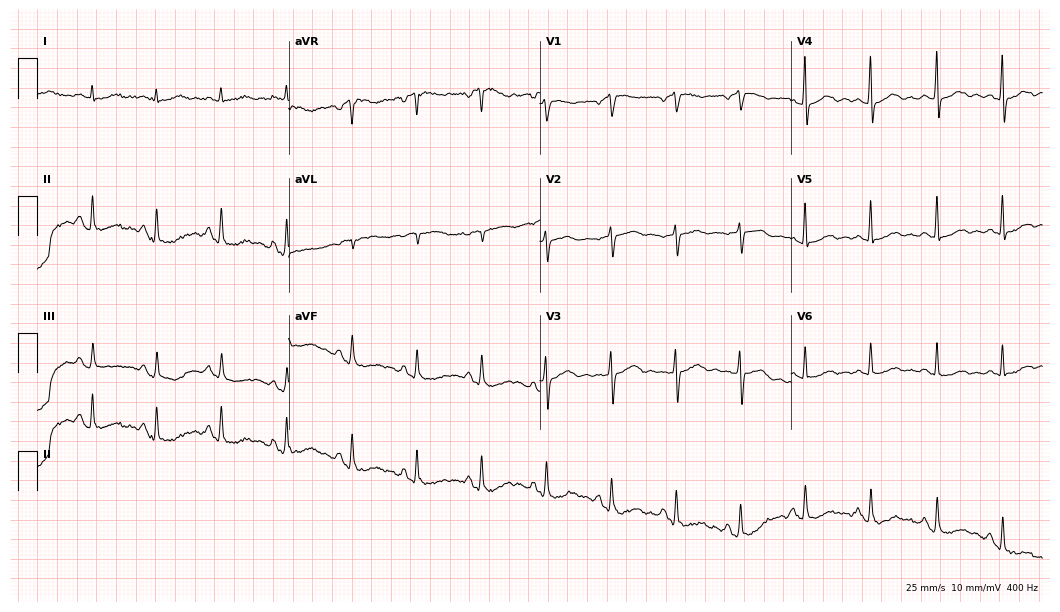
Resting 12-lead electrocardiogram. Patient: a female, 73 years old. None of these six findings is recorded: first-degree AV block, right bundle branch block, left bundle branch block, sinus bradycardia, atrial fibrillation, sinus tachycardia. Other findings, if any, are not listed.